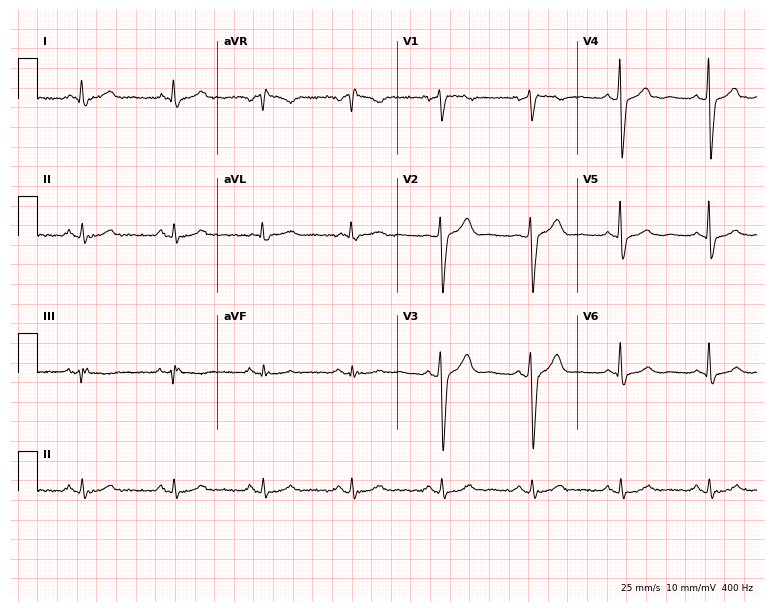
Electrocardiogram (7.3-second recording at 400 Hz), a 48-year-old male patient. Of the six screened findings (first-degree AV block, right bundle branch block, left bundle branch block, sinus bradycardia, atrial fibrillation, sinus tachycardia), none is recorded. Only these six findings were labelled.